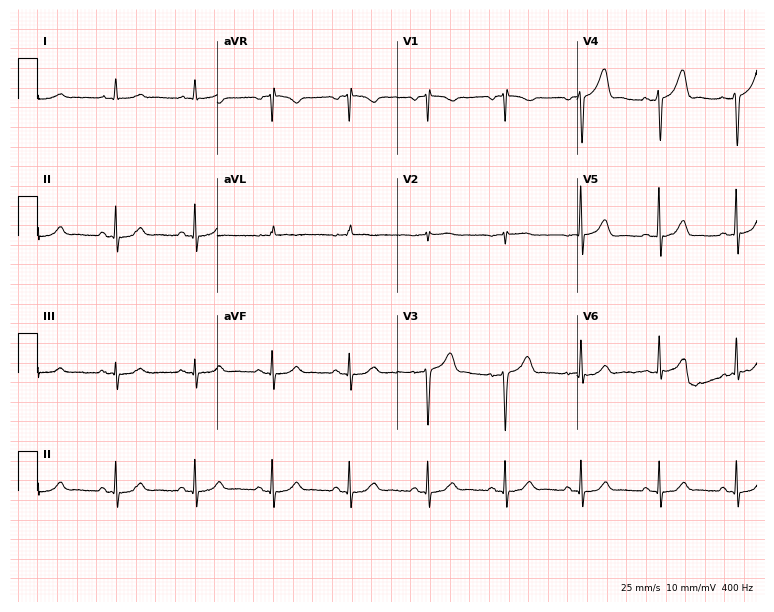
12-lead ECG from a male, 81 years old. Labelled as a normal ECG.